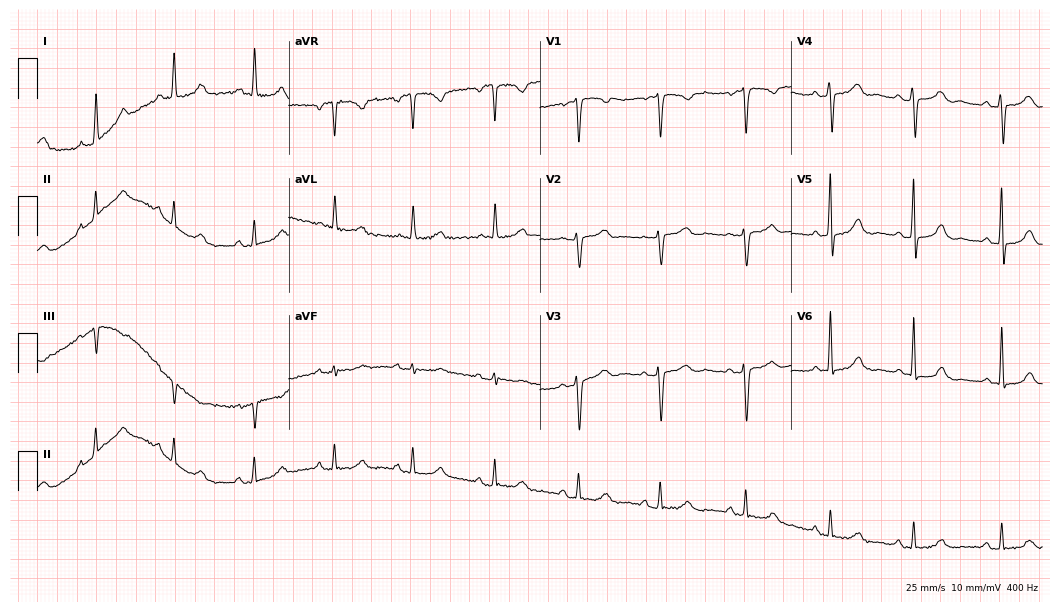
Resting 12-lead electrocardiogram (10.2-second recording at 400 Hz). Patient: a female, 51 years old. Read as a normal ECG.